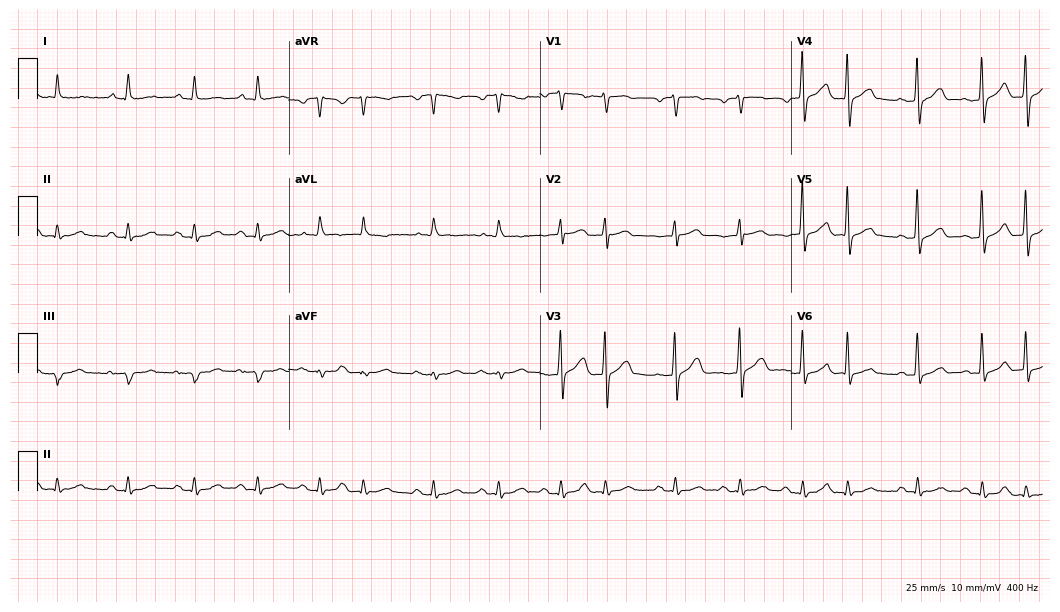
Electrocardiogram (10.2-second recording at 400 Hz), an 82-year-old male. Of the six screened findings (first-degree AV block, right bundle branch block (RBBB), left bundle branch block (LBBB), sinus bradycardia, atrial fibrillation (AF), sinus tachycardia), none is recorded. Only these six findings were labelled.